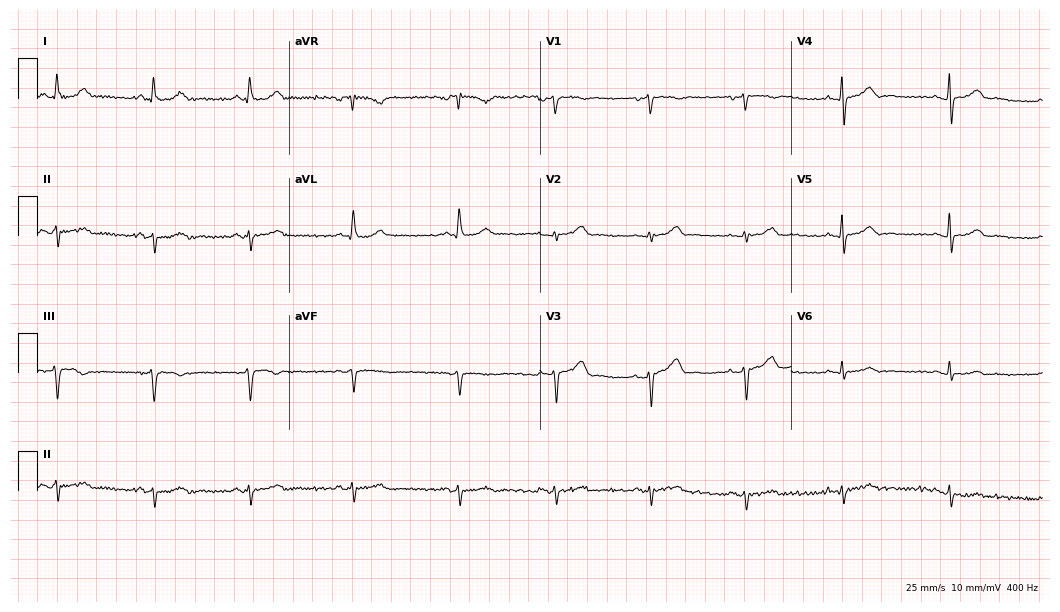
Standard 12-lead ECG recorded from a female, 70 years old. None of these six findings is recorded: first-degree AV block, right bundle branch block, left bundle branch block, sinus bradycardia, atrial fibrillation, sinus tachycardia. Only these six findings were labelled.